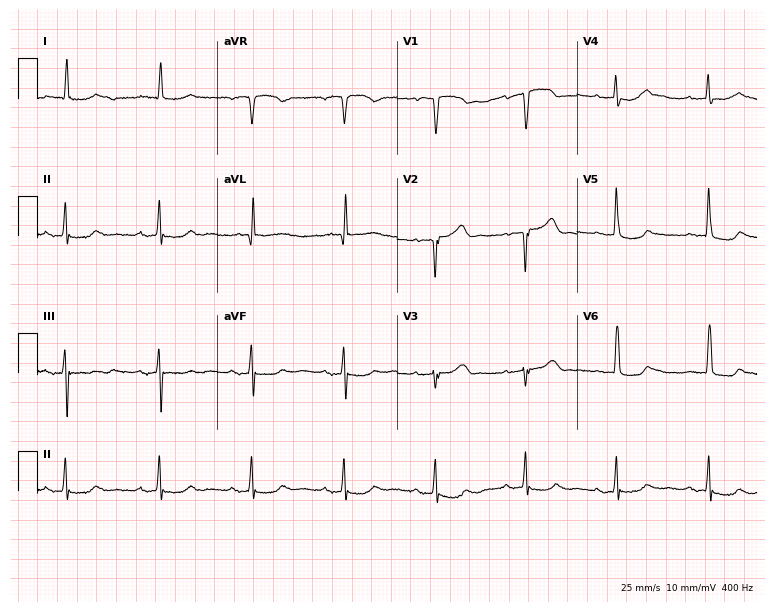
Resting 12-lead electrocardiogram (7.3-second recording at 400 Hz). Patient: a 72-year-old male. None of these six findings is recorded: first-degree AV block, right bundle branch block, left bundle branch block, sinus bradycardia, atrial fibrillation, sinus tachycardia.